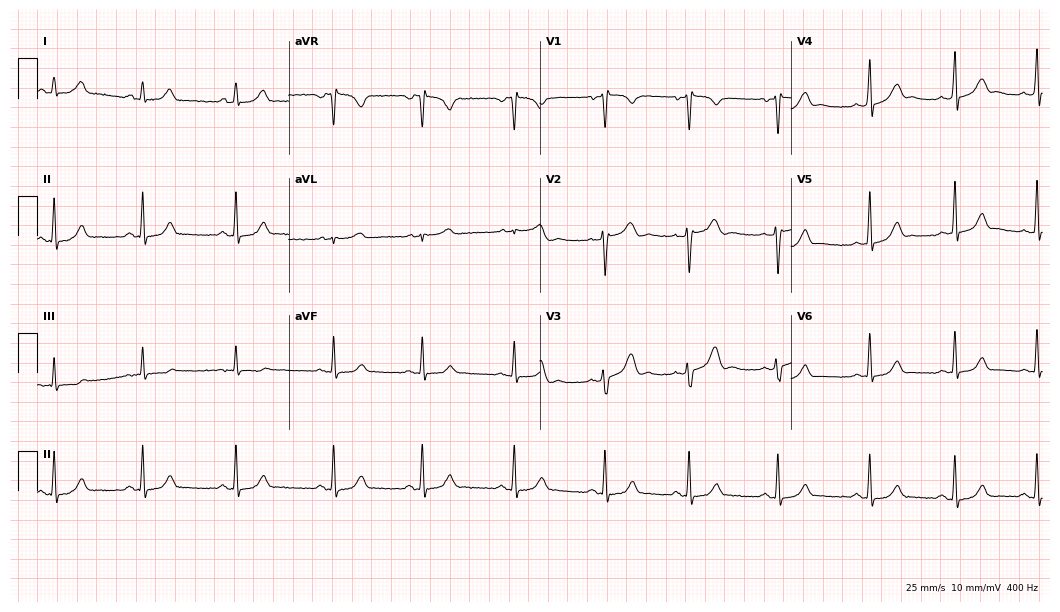
Standard 12-lead ECG recorded from a female, 34 years old. Read as a normal ECG.